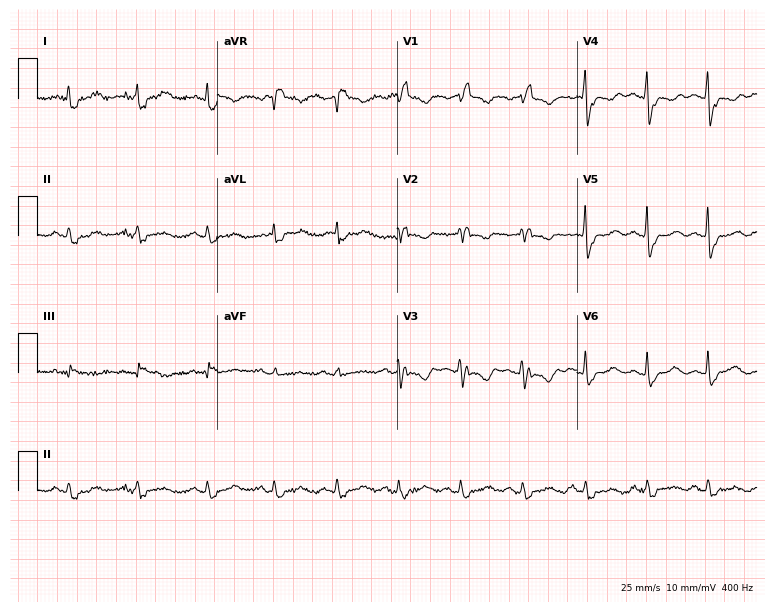
12-lead ECG (7.3-second recording at 400 Hz) from a 63-year-old female patient. Findings include right bundle branch block.